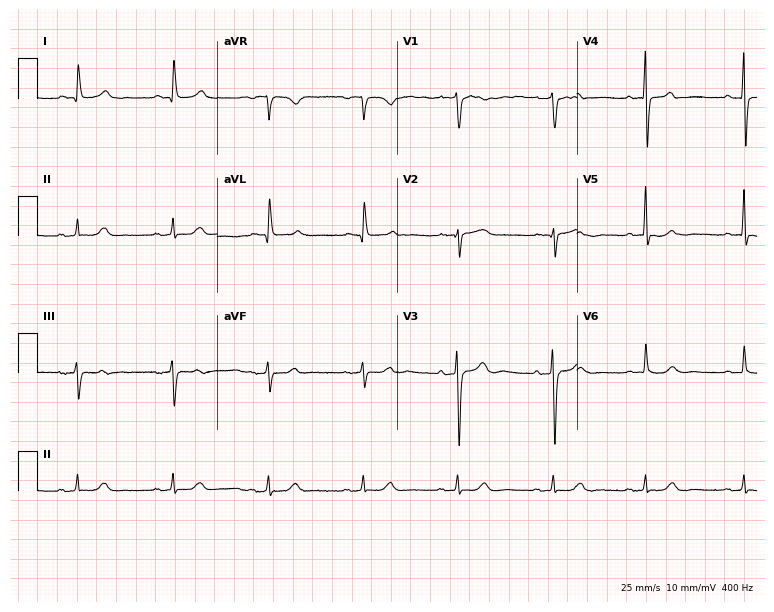
12-lead ECG from an 85-year-old male patient (7.3-second recording at 400 Hz). Recorded interpretation: within normal limits.